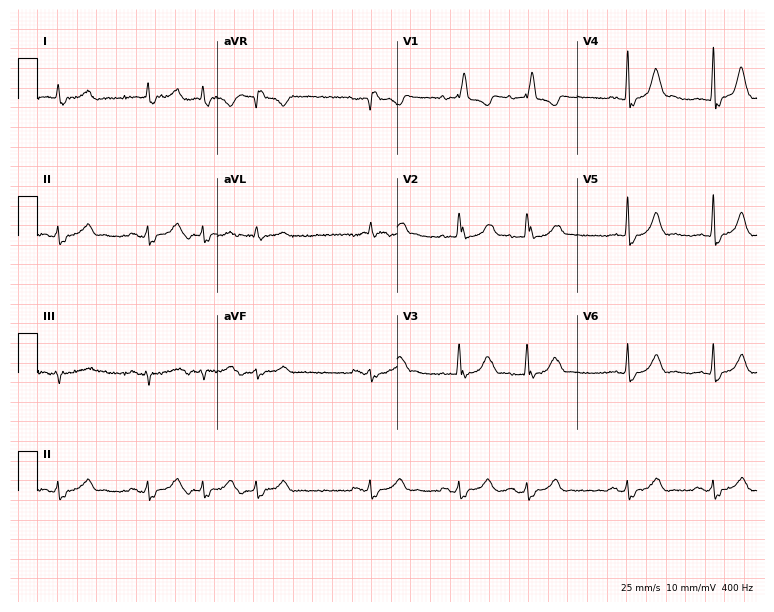
12-lead ECG (7.3-second recording at 400 Hz) from an 85-year-old male. Findings include first-degree AV block, right bundle branch block, atrial fibrillation.